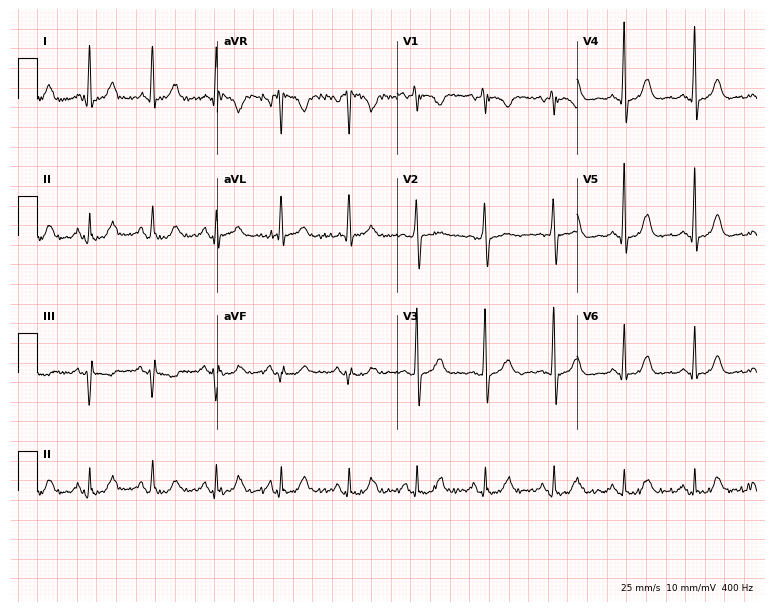
12-lead ECG from a 74-year-old female patient (7.3-second recording at 400 Hz). Recorded interpretation: within normal limits.